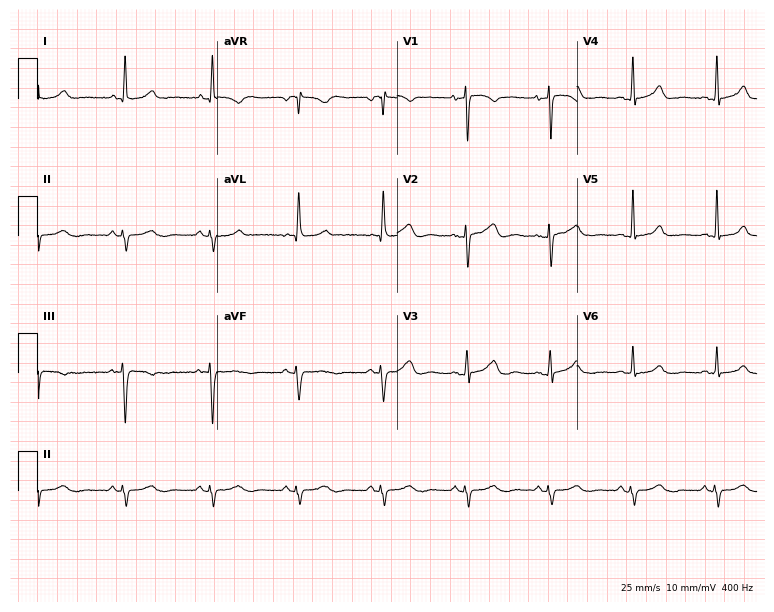
Standard 12-lead ECG recorded from a woman, 65 years old (7.3-second recording at 400 Hz). None of these six findings is recorded: first-degree AV block, right bundle branch block (RBBB), left bundle branch block (LBBB), sinus bradycardia, atrial fibrillation (AF), sinus tachycardia.